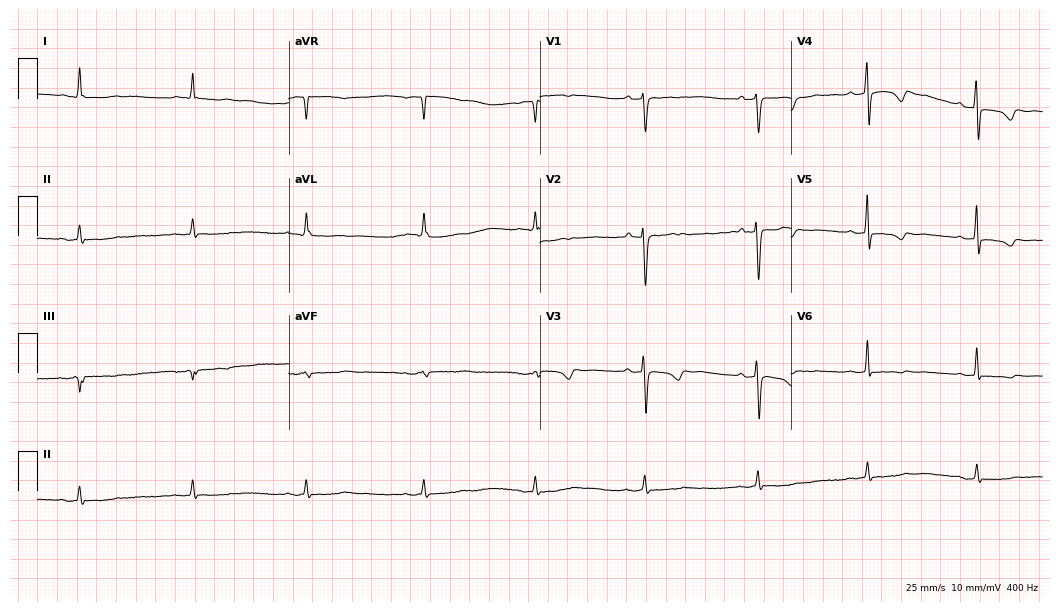
Standard 12-lead ECG recorded from a female patient, 77 years old. None of these six findings is recorded: first-degree AV block, right bundle branch block, left bundle branch block, sinus bradycardia, atrial fibrillation, sinus tachycardia. Findings outside these six are not listed.